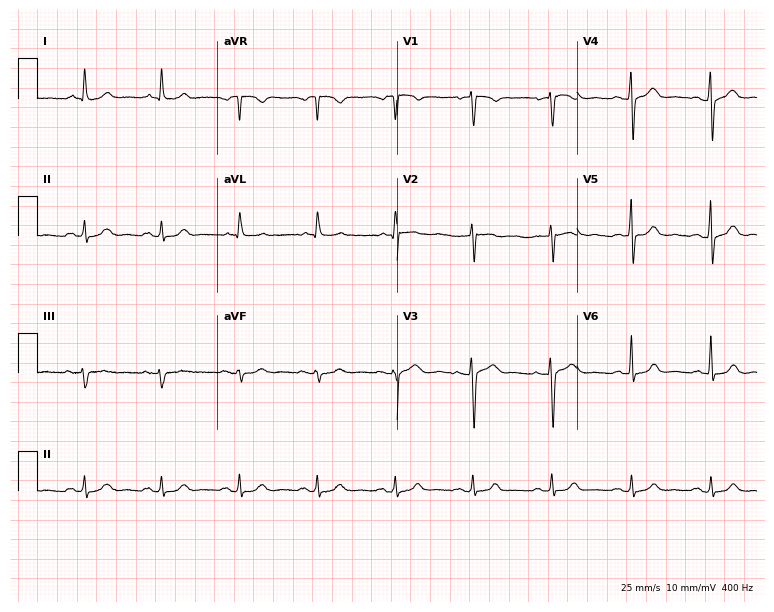
12-lead ECG from a man, 70 years old. Recorded interpretation: within normal limits.